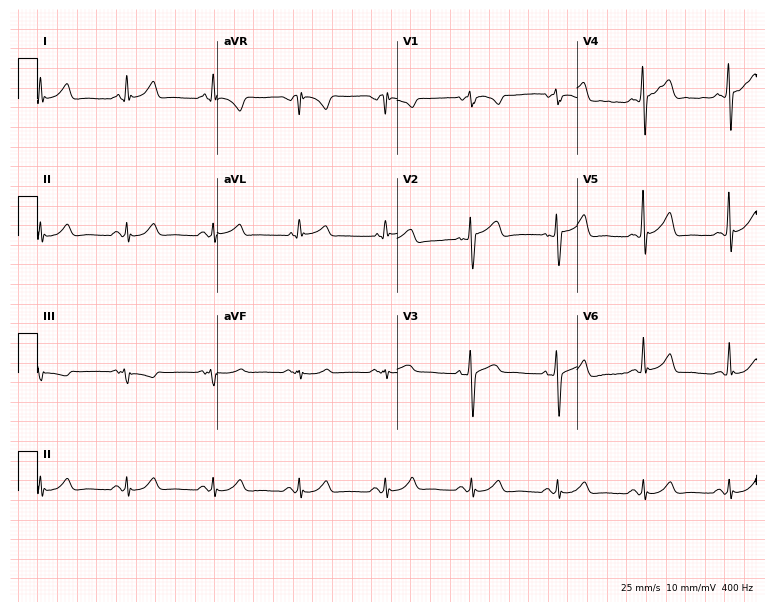
ECG — a 51-year-old male. Screened for six findings — first-degree AV block, right bundle branch block, left bundle branch block, sinus bradycardia, atrial fibrillation, sinus tachycardia — none is recorded. Other findings, if any, are not listed.